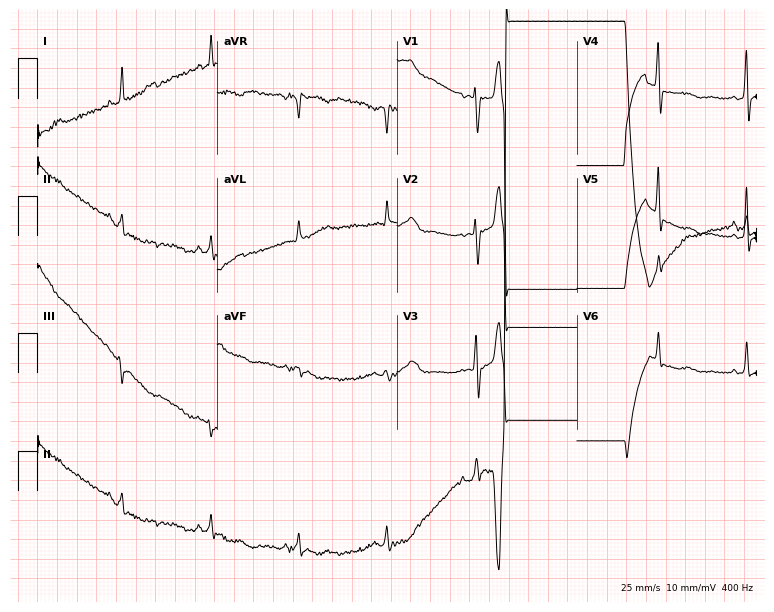
Resting 12-lead electrocardiogram (7.3-second recording at 400 Hz). Patient: a female, 54 years old. None of these six findings is recorded: first-degree AV block, right bundle branch block, left bundle branch block, sinus bradycardia, atrial fibrillation, sinus tachycardia.